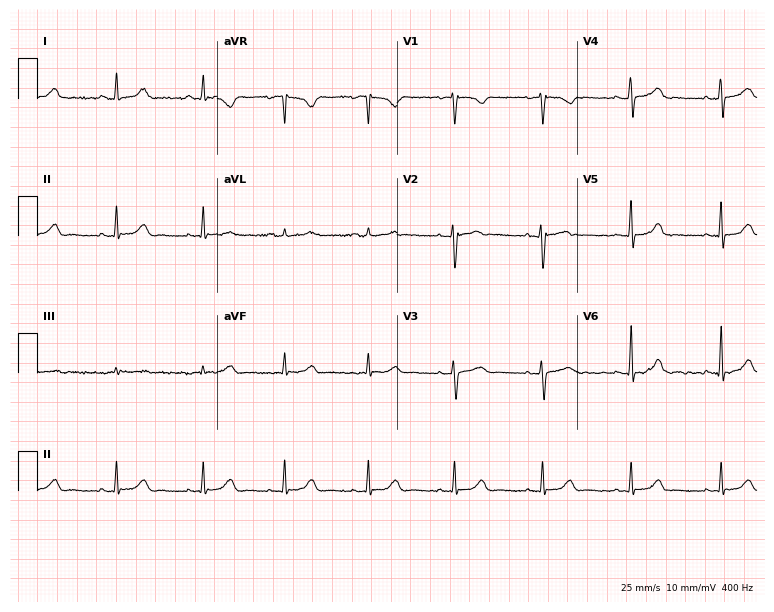
12-lead ECG from a woman, 35 years old. Screened for six findings — first-degree AV block, right bundle branch block, left bundle branch block, sinus bradycardia, atrial fibrillation, sinus tachycardia — none is recorded. Other findings, if any, are not listed.